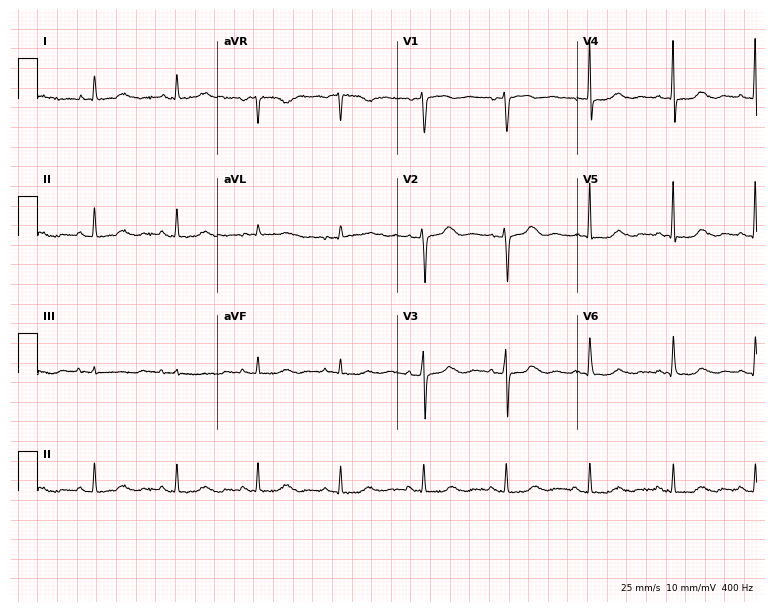
ECG (7.3-second recording at 400 Hz) — an 82-year-old female. Screened for six findings — first-degree AV block, right bundle branch block (RBBB), left bundle branch block (LBBB), sinus bradycardia, atrial fibrillation (AF), sinus tachycardia — none is recorded.